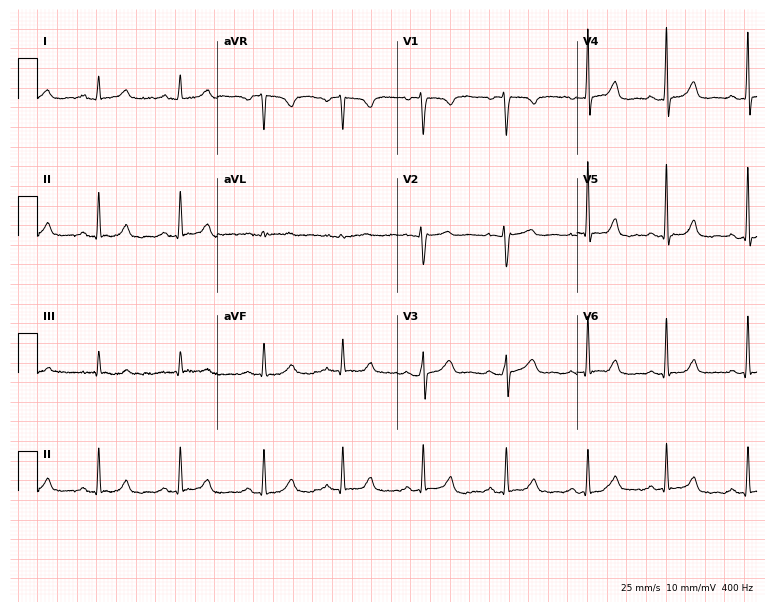
Resting 12-lead electrocardiogram (7.3-second recording at 400 Hz). Patient: a female, 38 years old. Read as a normal ECG.